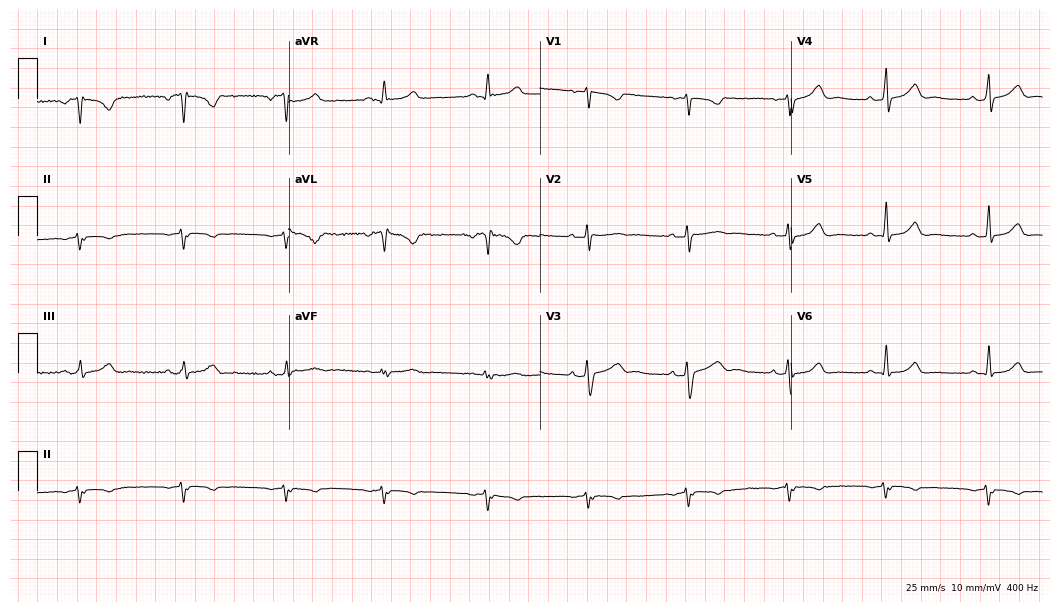
Standard 12-lead ECG recorded from a female, 33 years old. None of these six findings is recorded: first-degree AV block, right bundle branch block, left bundle branch block, sinus bradycardia, atrial fibrillation, sinus tachycardia.